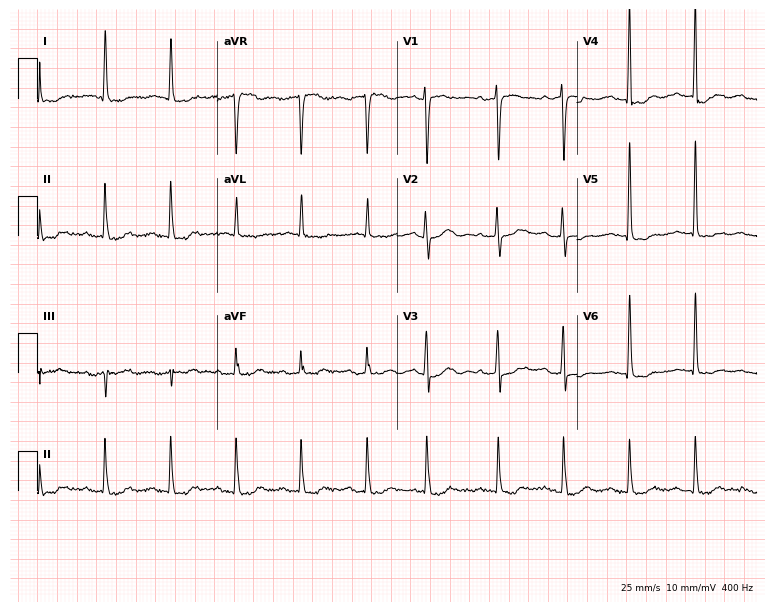
Resting 12-lead electrocardiogram. Patient: a 72-year-old female. None of these six findings is recorded: first-degree AV block, right bundle branch block, left bundle branch block, sinus bradycardia, atrial fibrillation, sinus tachycardia.